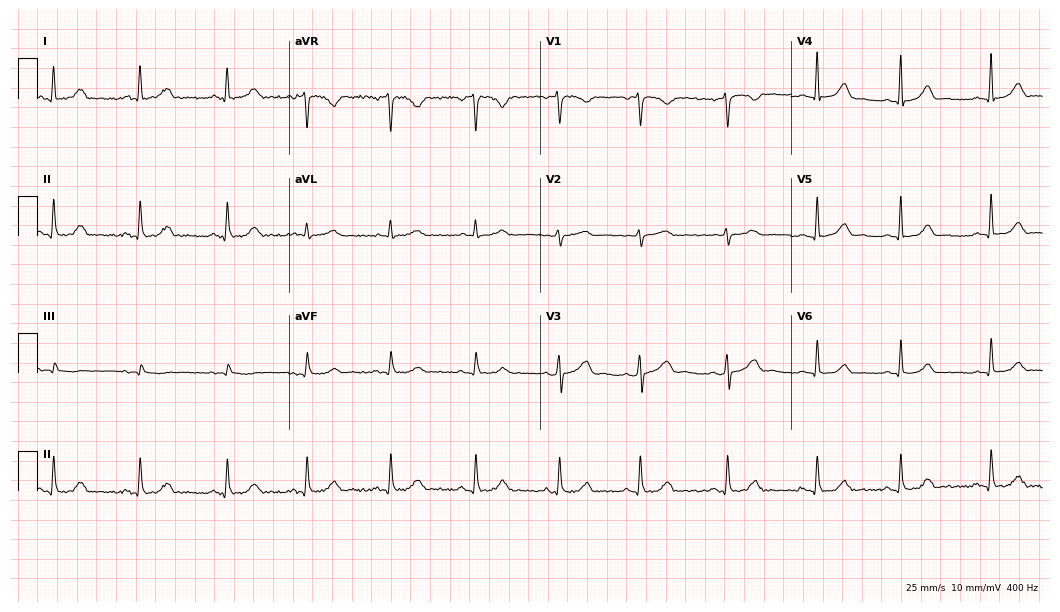
ECG — a 35-year-old woman. Labelled as a normal ECG.